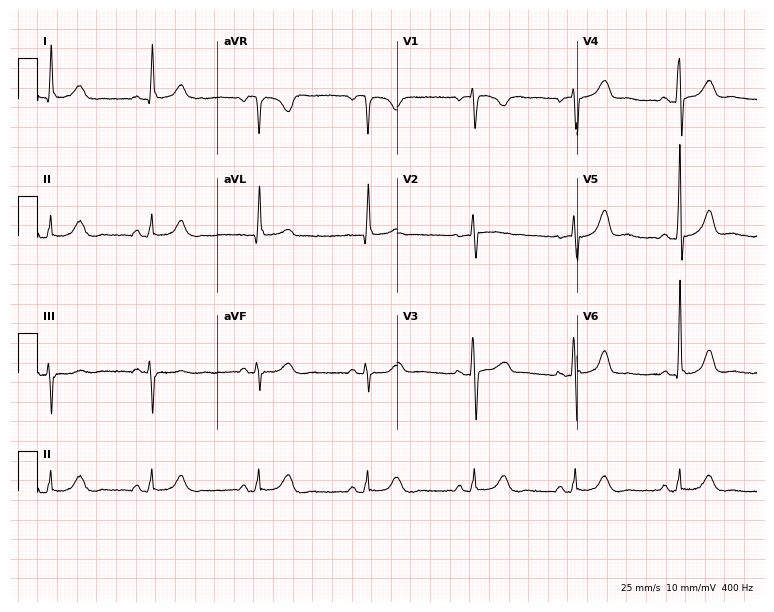
Electrocardiogram, a female patient, 68 years old. Of the six screened findings (first-degree AV block, right bundle branch block (RBBB), left bundle branch block (LBBB), sinus bradycardia, atrial fibrillation (AF), sinus tachycardia), none is recorded.